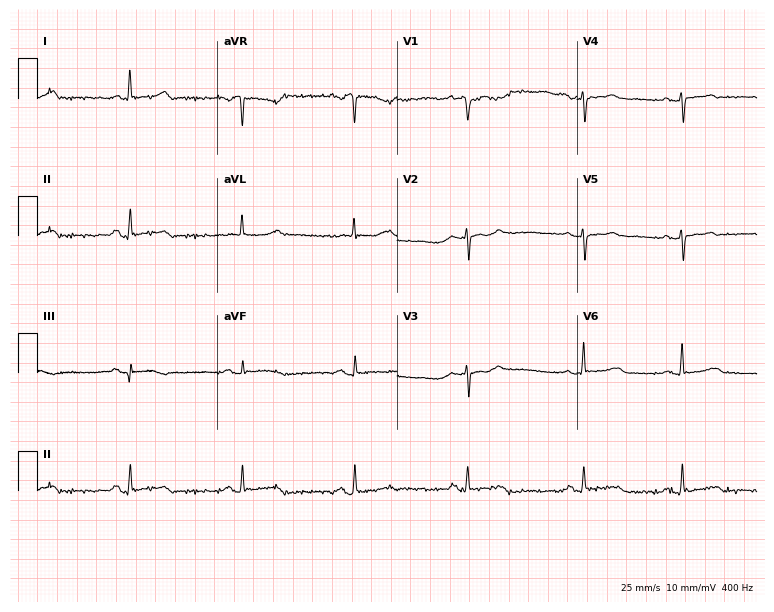
Electrocardiogram (7.3-second recording at 400 Hz), a 72-year-old female patient. Overall reading on record: normal ECG.